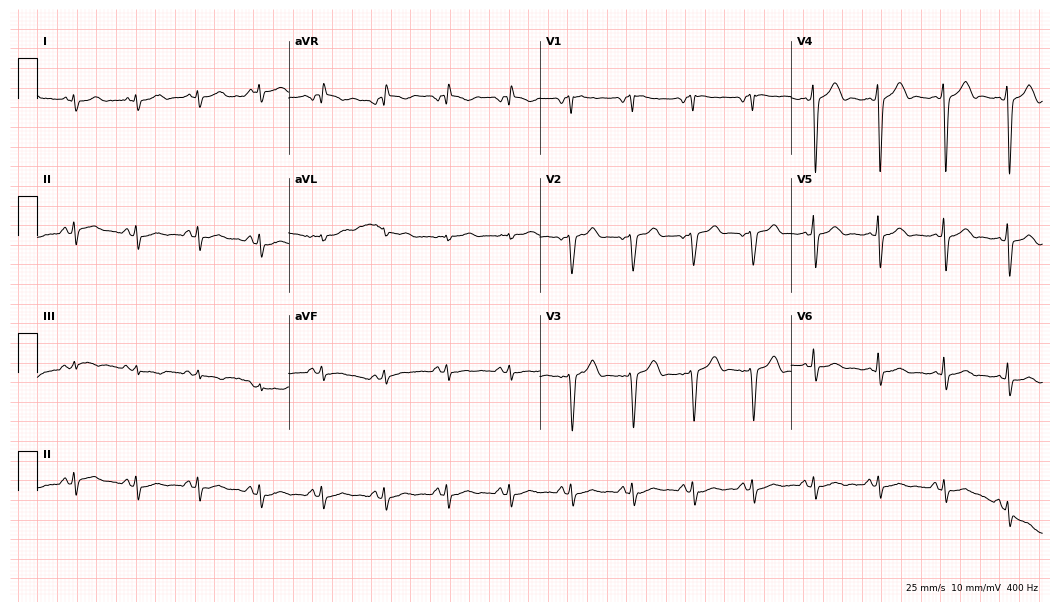
ECG (10.2-second recording at 400 Hz) — a 24-year-old male patient. Screened for six findings — first-degree AV block, right bundle branch block (RBBB), left bundle branch block (LBBB), sinus bradycardia, atrial fibrillation (AF), sinus tachycardia — none is recorded.